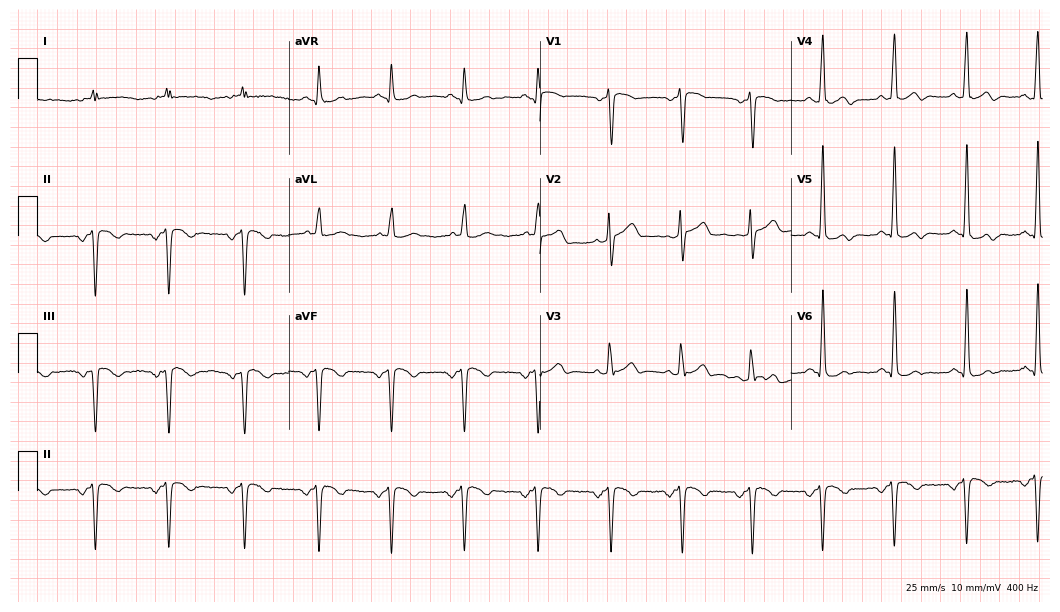
12-lead ECG from a male patient, 73 years old (10.2-second recording at 400 Hz). No first-degree AV block, right bundle branch block, left bundle branch block, sinus bradycardia, atrial fibrillation or sinus tachycardia recorded for this tracing. Other findings, if any, are not listed.